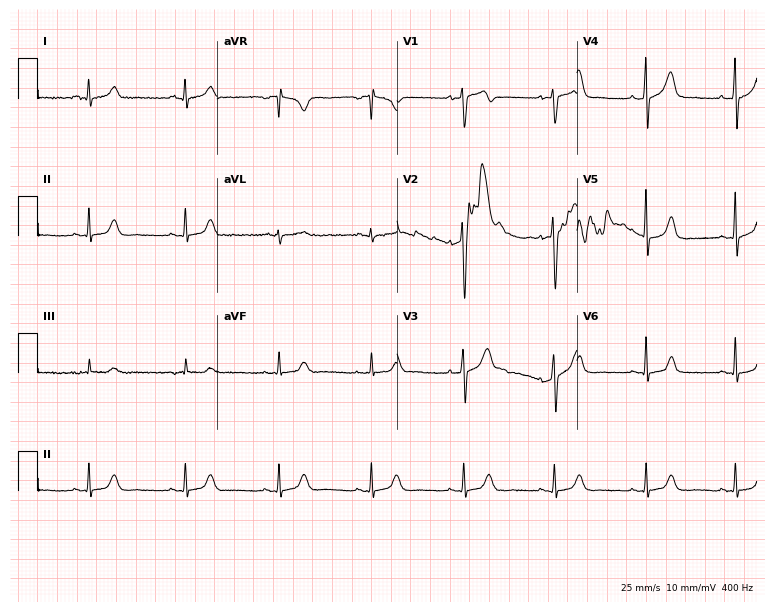
Resting 12-lead electrocardiogram (7.3-second recording at 400 Hz). Patient: a woman, 47 years old. Read as a normal ECG.